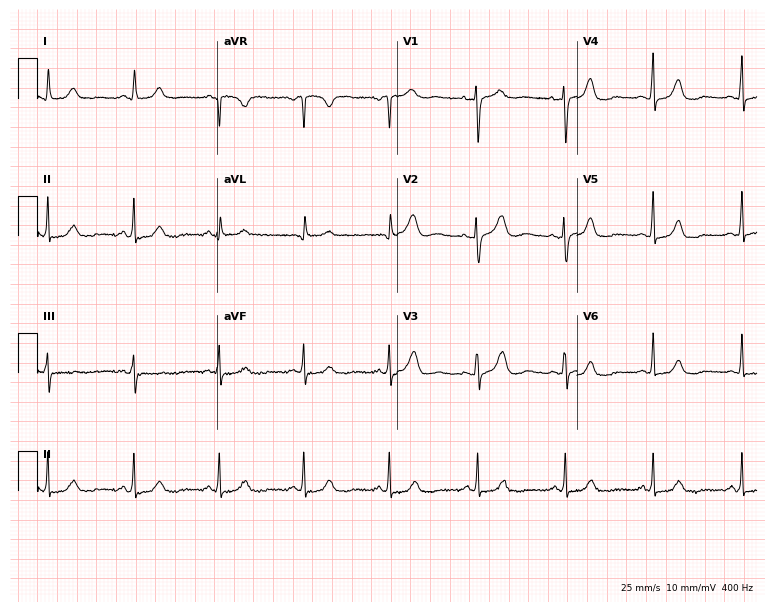
12-lead ECG from a 45-year-old woman. Recorded interpretation: within normal limits.